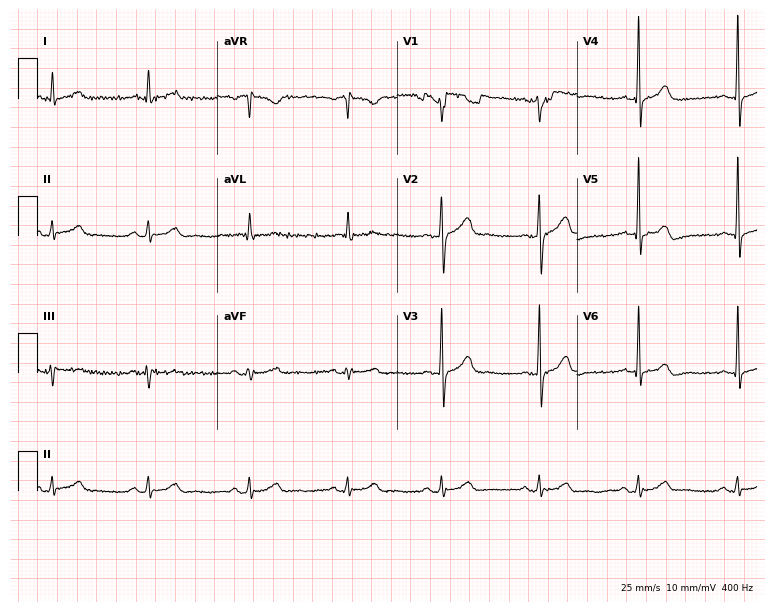
12-lead ECG from a man, 52 years old. Screened for six findings — first-degree AV block, right bundle branch block, left bundle branch block, sinus bradycardia, atrial fibrillation, sinus tachycardia — none is recorded.